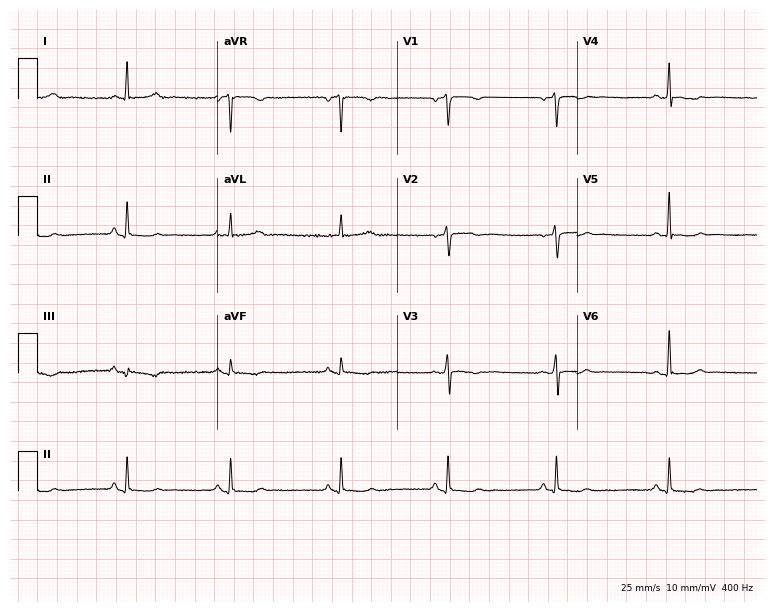
12-lead ECG (7.3-second recording at 400 Hz) from a 53-year-old woman. Screened for six findings — first-degree AV block, right bundle branch block, left bundle branch block, sinus bradycardia, atrial fibrillation, sinus tachycardia — none is recorded.